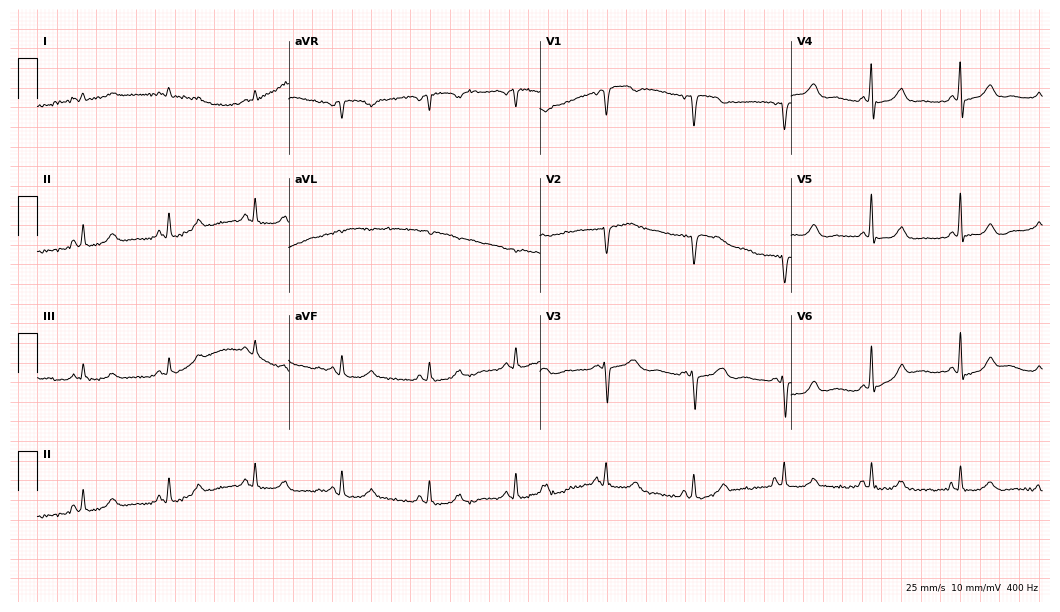
Resting 12-lead electrocardiogram (10.2-second recording at 400 Hz). Patient: a female, 76 years old. None of these six findings is recorded: first-degree AV block, right bundle branch block (RBBB), left bundle branch block (LBBB), sinus bradycardia, atrial fibrillation (AF), sinus tachycardia. Other findings, if any, are not listed.